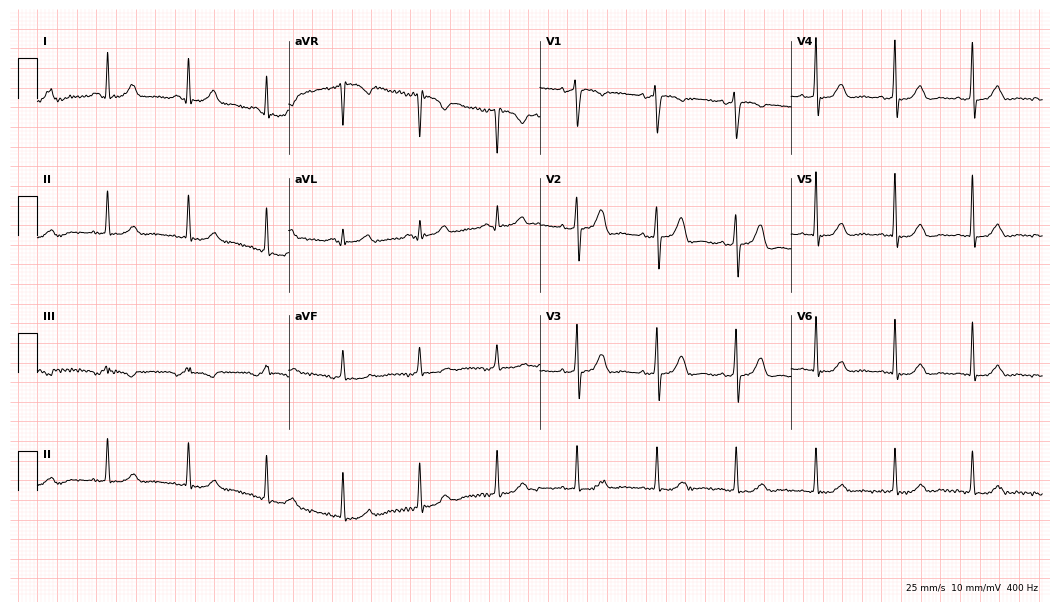
ECG — a female, 54 years old. Labelled as a normal ECG.